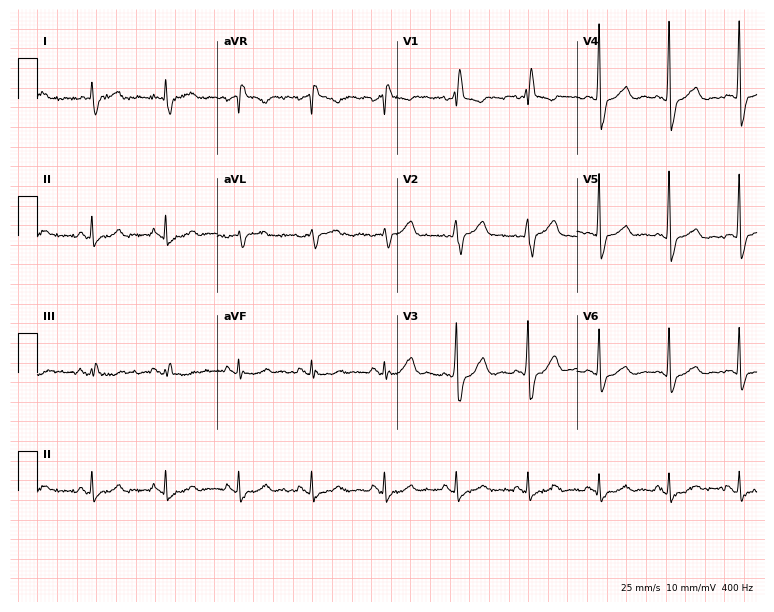
12-lead ECG (7.3-second recording at 400 Hz) from a 79-year-old male patient. Findings include right bundle branch block (RBBB).